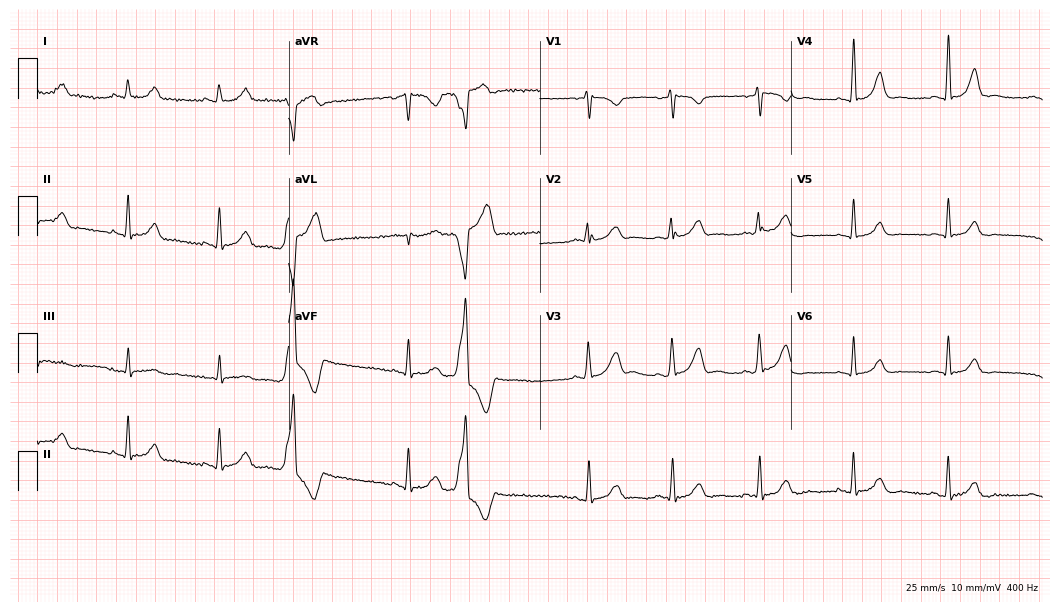
Standard 12-lead ECG recorded from a 46-year-old woman. None of these six findings is recorded: first-degree AV block, right bundle branch block (RBBB), left bundle branch block (LBBB), sinus bradycardia, atrial fibrillation (AF), sinus tachycardia. Findings outside these six are not listed.